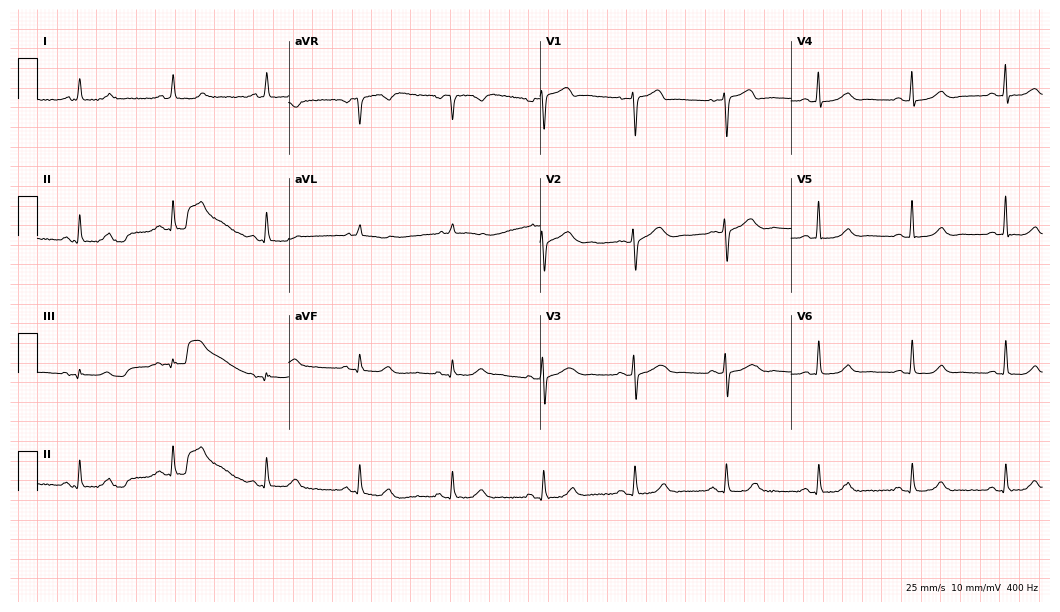
12-lead ECG from a woman, 80 years old. Labelled as a normal ECG.